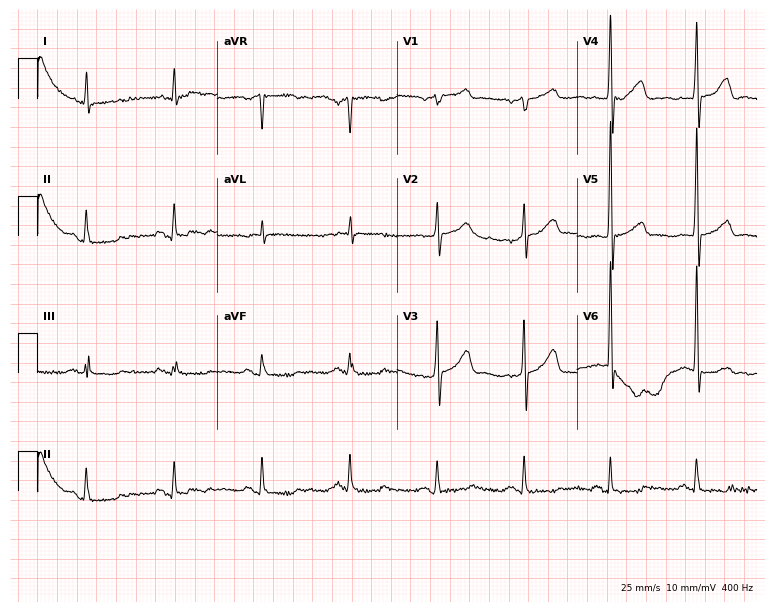
Electrocardiogram, a male patient, 84 years old. Of the six screened findings (first-degree AV block, right bundle branch block (RBBB), left bundle branch block (LBBB), sinus bradycardia, atrial fibrillation (AF), sinus tachycardia), none is recorded.